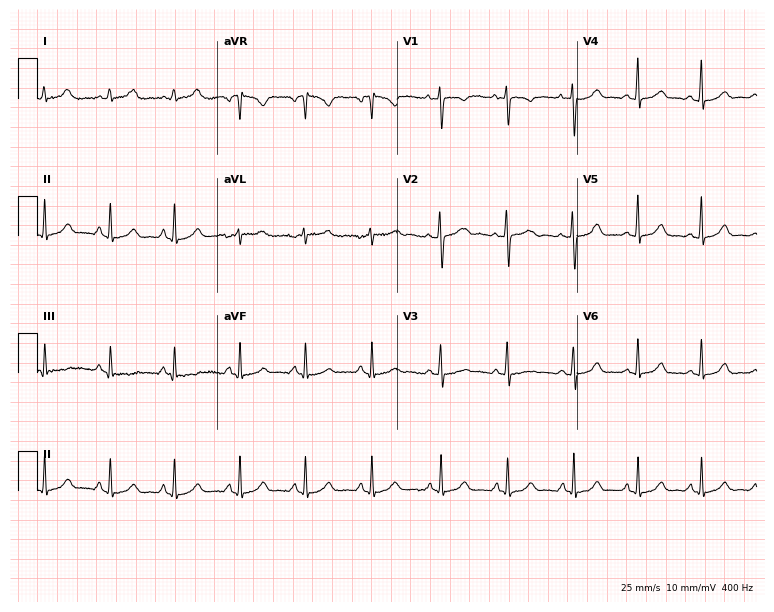
12-lead ECG from a female, 28 years old. Screened for six findings — first-degree AV block, right bundle branch block, left bundle branch block, sinus bradycardia, atrial fibrillation, sinus tachycardia — none is recorded.